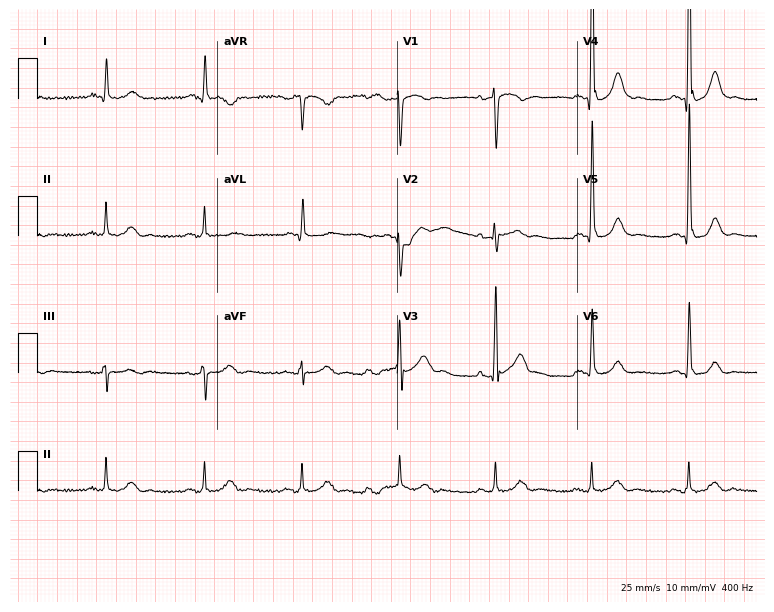
Resting 12-lead electrocardiogram. Patient: a 62-year-old man. None of these six findings is recorded: first-degree AV block, right bundle branch block, left bundle branch block, sinus bradycardia, atrial fibrillation, sinus tachycardia. Other findings, if any, are not listed.